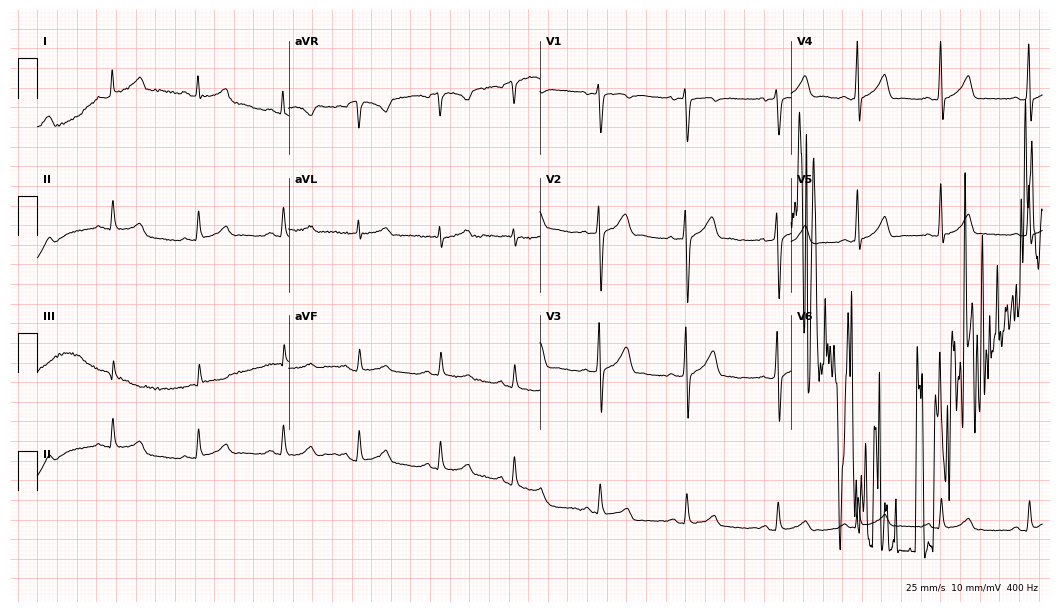
12-lead ECG (10.2-second recording at 400 Hz) from a 31-year-old male. Screened for six findings — first-degree AV block, right bundle branch block, left bundle branch block, sinus bradycardia, atrial fibrillation, sinus tachycardia — none is recorded.